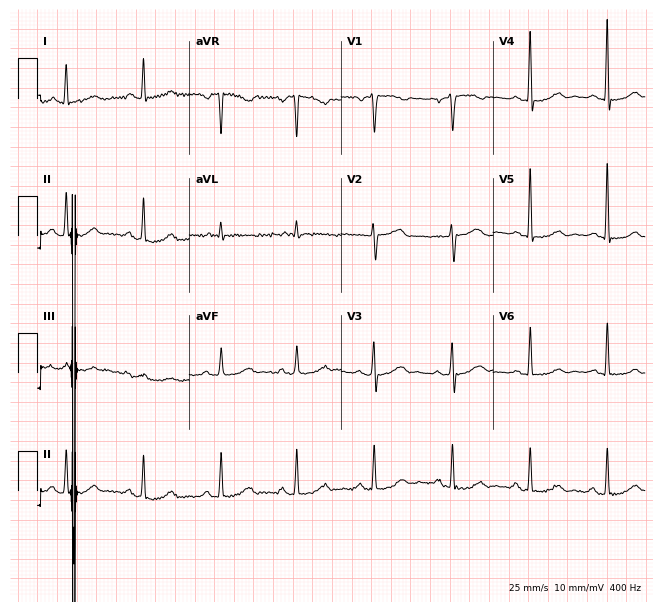
12-lead ECG (6.2-second recording at 400 Hz) from a 57-year-old female. Screened for six findings — first-degree AV block, right bundle branch block, left bundle branch block, sinus bradycardia, atrial fibrillation, sinus tachycardia — none is recorded. Only these six findings were labelled.